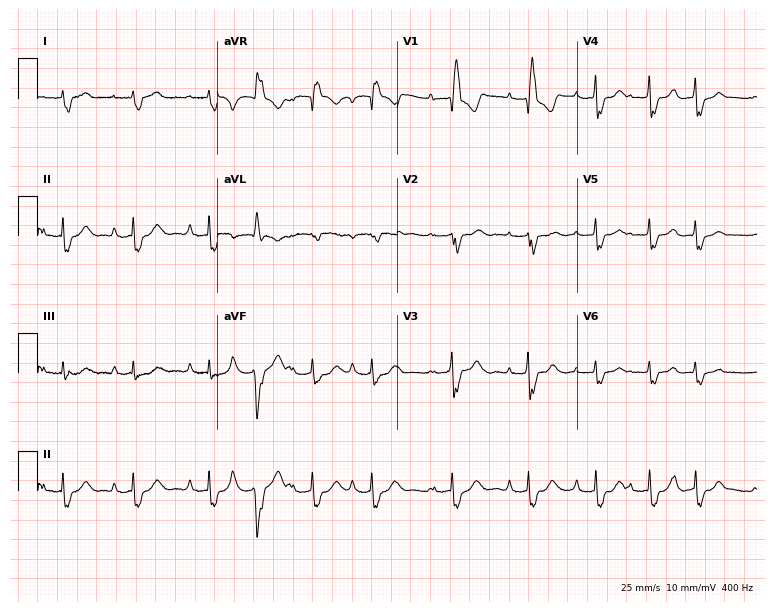
Resting 12-lead electrocardiogram (7.3-second recording at 400 Hz). Patient: a 76-year-old male. The tracing shows right bundle branch block (RBBB).